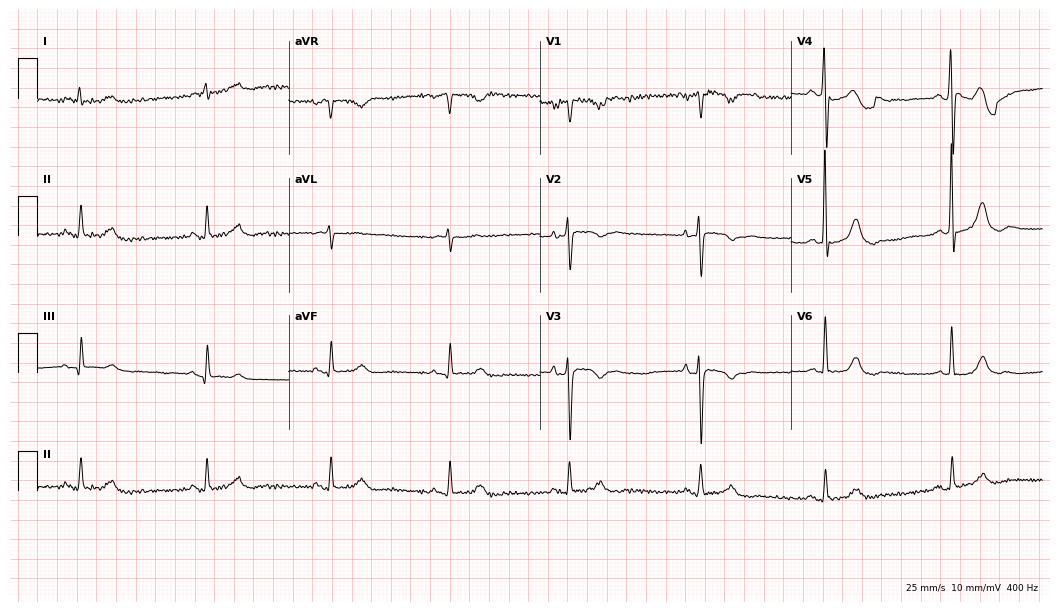
Electrocardiogram (10.2-second recording at 400 Hz), a man, 84 years old. Of the six screened findings (first-degree AV block, right bundle branch block, left bundle branch block, sinus bradycardia, atrial fibrillation, sinus tachycardia), none is recorded.